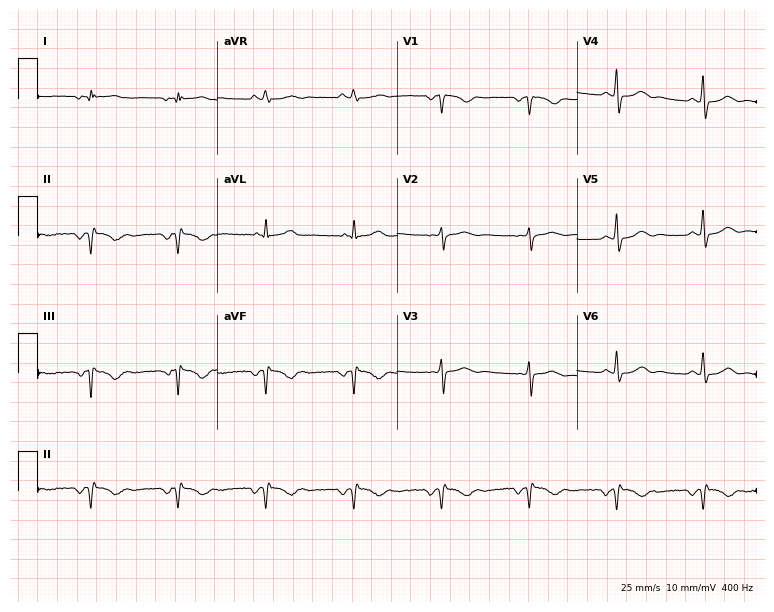
12-lead ECG from a 28-year-old woman. No first-degree AV block, right bundle branch block (RBBB), left bundle branch block (LBBB), sinus bradycardia, atrial fibrillation (AF) or sinus tachycardia recorded for this tracing.